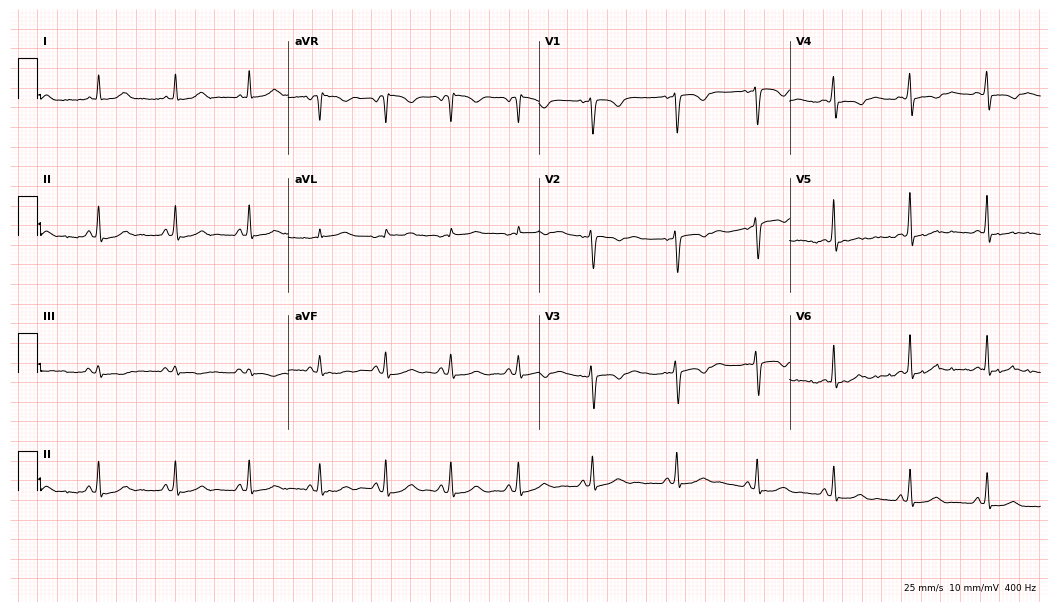
ECG (10.2-second recording at 400 Hz) — a female, 43 years old. Screened for six findings — first-degree AV block, right bundle branch block, left bundle branch block, sinus bradycardia, atrial fibrillation, sinus tachycardia — none is recorded.